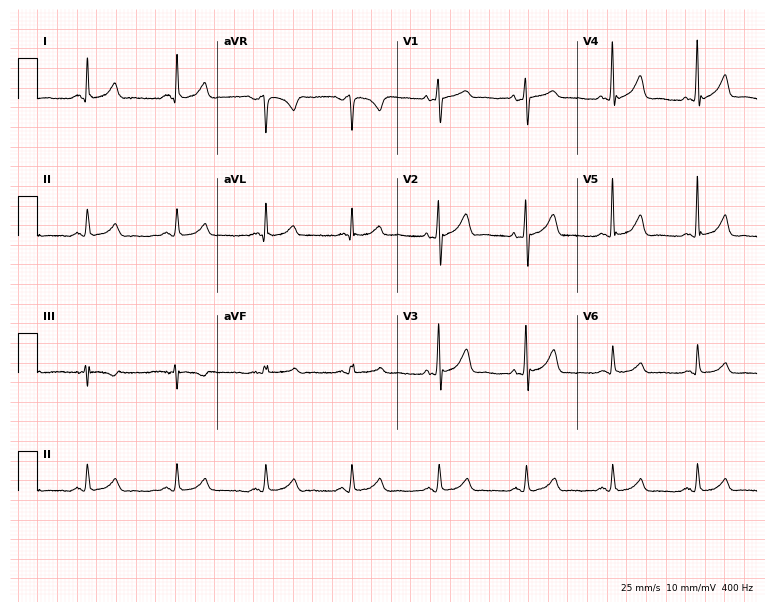
Standard 12-lead ECG recorded from a female patient, 58 years old. None of these six findings is recorded: first-degree AV block, right bundle branch block, left bundle branch block, sinus bradycardia, atrial fibrillation, sinus tachycardia. Findings outside these six are not listed.